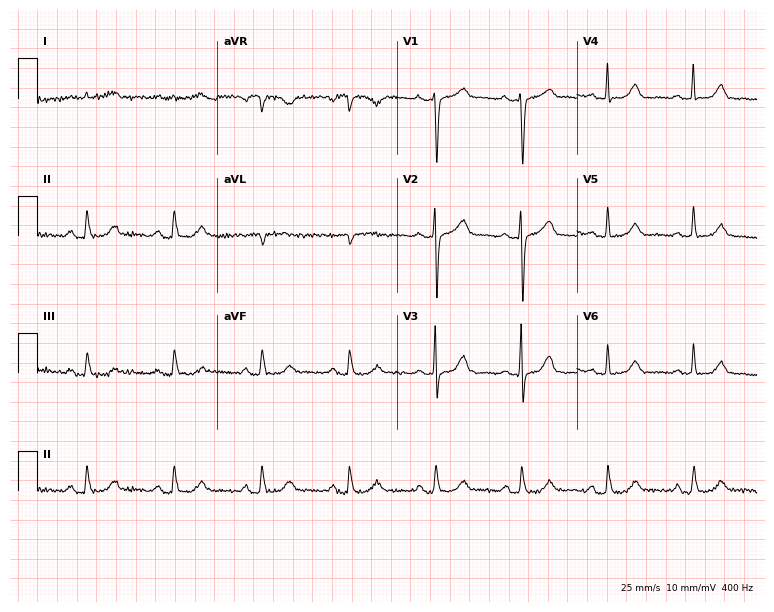
12-lead ECG from an 84-year-old female patient (7.3-second recording at 400 Hz). No first-degree AV block, right bundle branch block, left bundle branch block, sinus bradycardia, atrial fibrillation or sinus tachycardia recorded for this tracing.